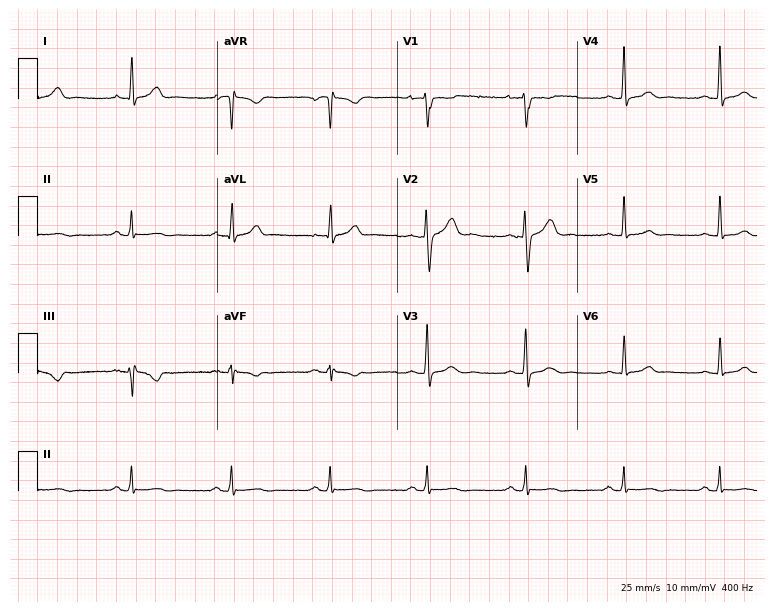
Standard 12-lead ECG recorded from a 44-year-old male patient. None of these six findings is recorded: first-degree AV block, right bundle branch block (RBBB), left bundle branch block (LBBB), sinus bradycardia, atrial fibrillation (AF), sinus tachycardia.